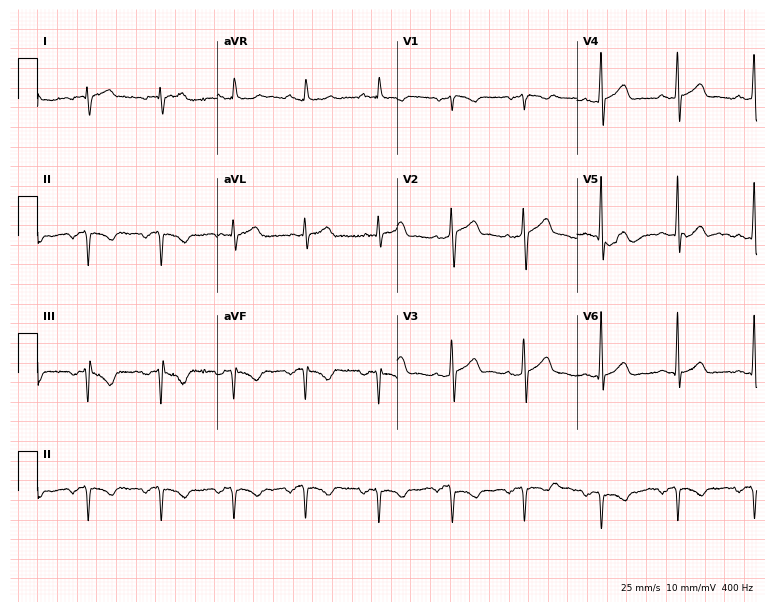
Electrocardiogram, a male patient, 61 years old. Of the six screened findings (first-degree AV block, right bundle branch block (RBBB), left bundle branch block (LBBB), sinus bradycardia, atrial fibrillation (AF), sinus tachycardia), none is recorded. Other findings, if any, are not listed.